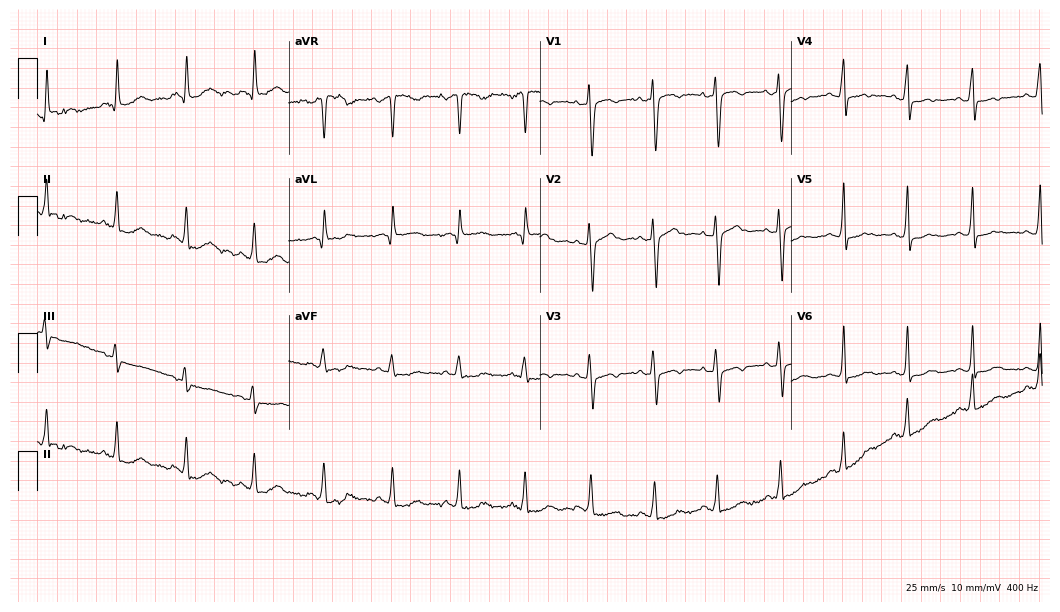
Standard 12-lead ECG recorded from a female, 48 years old. Read as a normal ECG.